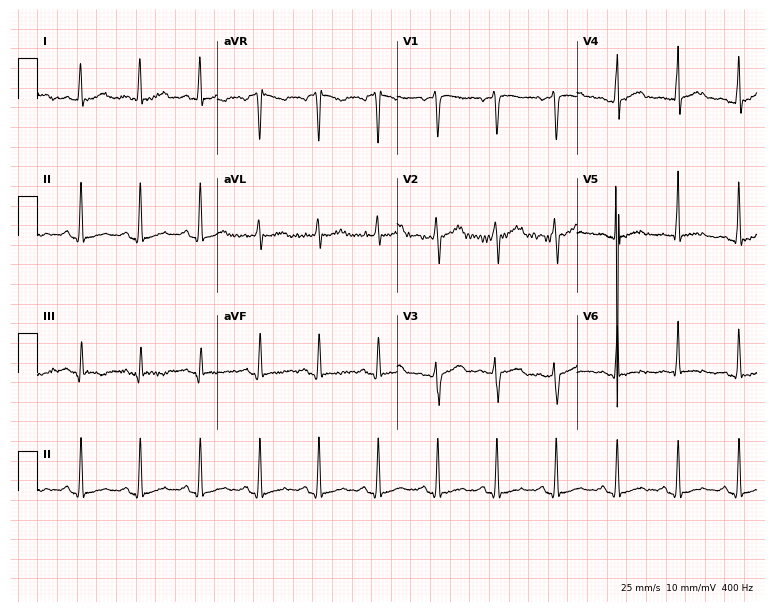
ECG (7.3-second recording at 400 Hz) — a male, 40 years old. Screened for six findings — first-degree AV block, right bundle branch block (RBBB), left bundle branch block (LBBB), sinus bradycardia, atrial fibrillation (AF), sinus tachycardia — none is recorded.